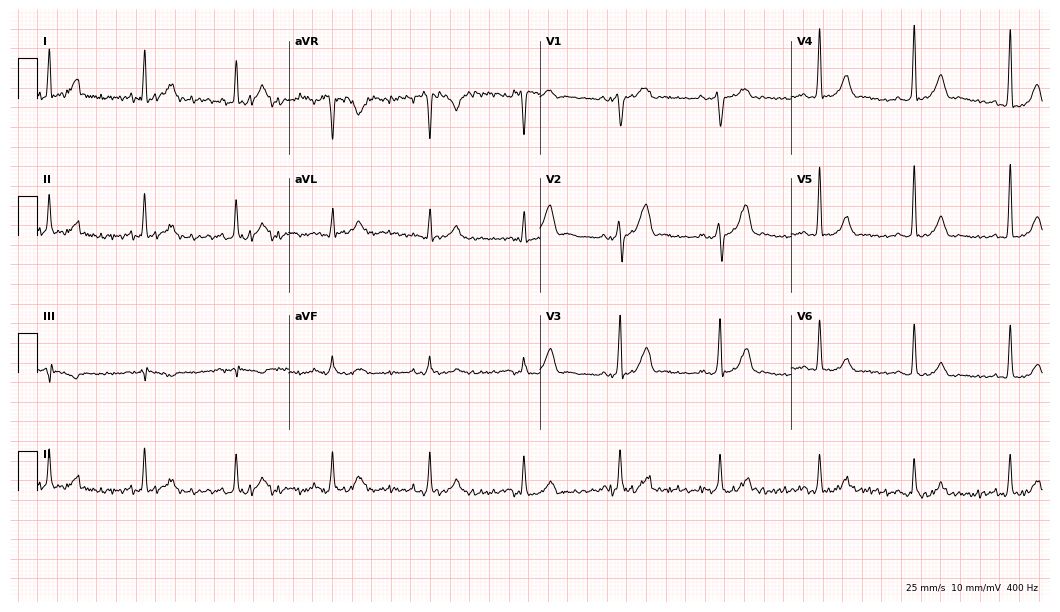
Electrocardiogram, a 38-year-old male. Overall reading on record: normal ECG.